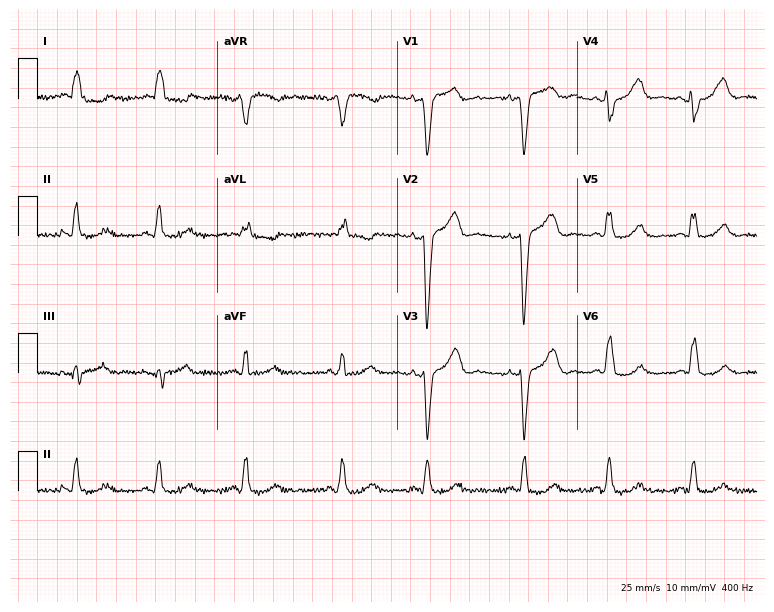
Electrocardiogram, a woman, 85 years old. Of the six screened findings (first-degree AV block, right bundle branch block, left bundle branch block, sinus bradycardia, atrial fibrillation, sinus tachycardia), none is recorded. Other findings, if any, are not listed.